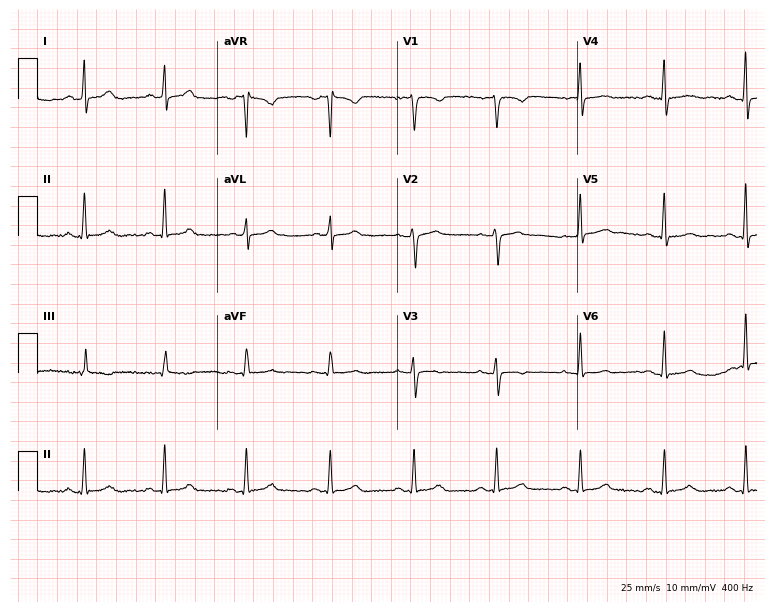
Standard 12-lead ECG recorded from a 63-year-old female. None of these six findings is recorded: first-degree AV block, right bundle branch block, left bundle branch block, sinus bradycardia, atrial fibrillation, sinus tachycardia.